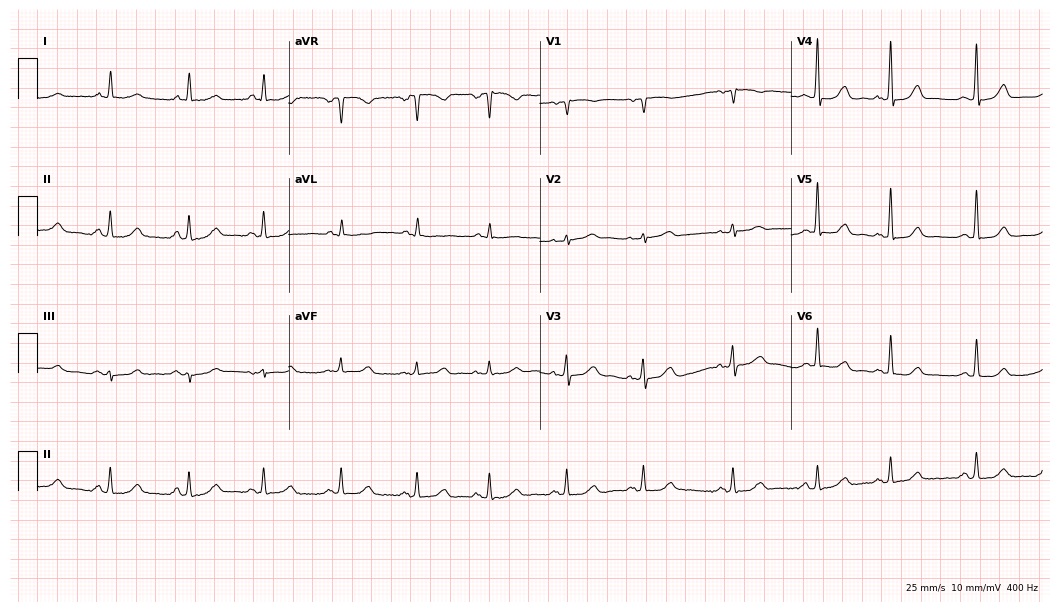
Electrocardiogram (10.2-second recording at 400 Hz), a 64-year-old female. Overall reading on record: normal ECG.